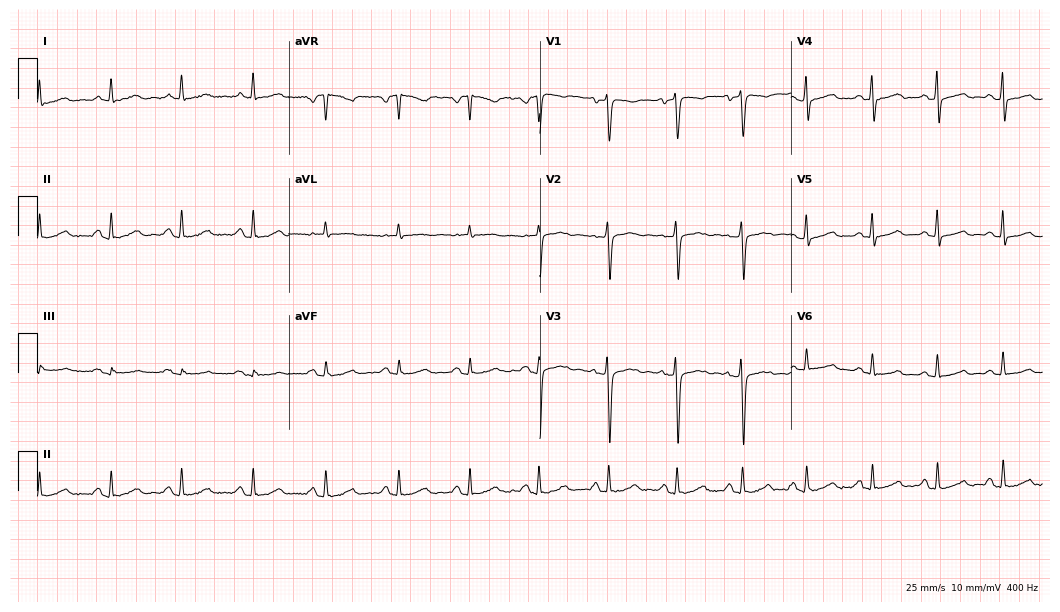
Electrocardiogram, a woman, 30 years old. Overall reading on record: normal ECG.